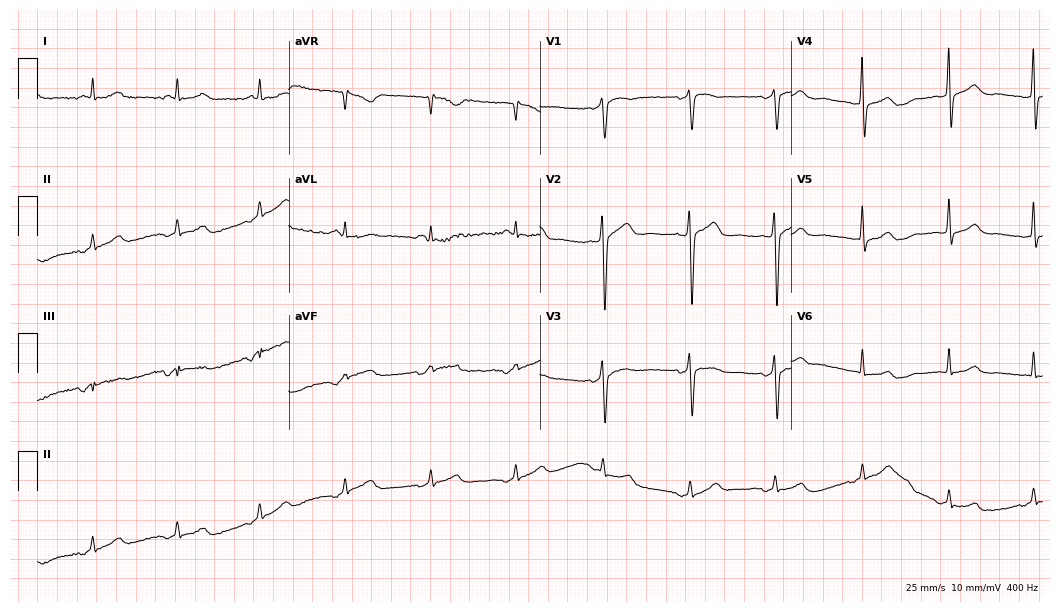
12-lead ECG from a female, 84 years old. Screened for six findings — first-degree AV block, right bundle branch block (RBBB), left bundle branch block (LBBB), sinus bradycardia, atrial fibrillation (AF), sinus tachycardia — none is recorded. Findings outside these six are not listed.